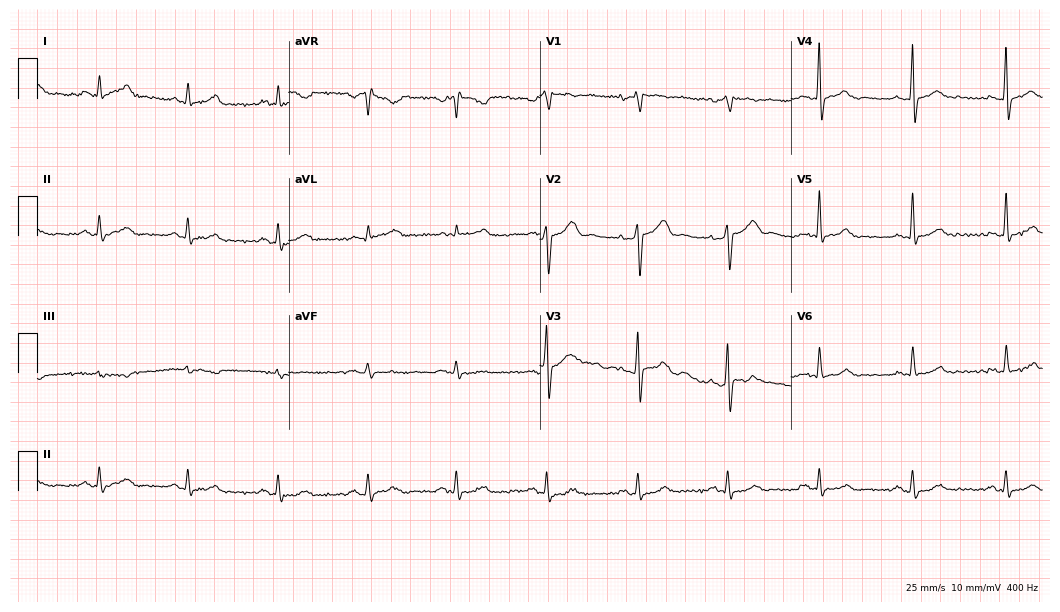
12-lead ECG from a 72-year-old man. Labelled as a normal ECG.